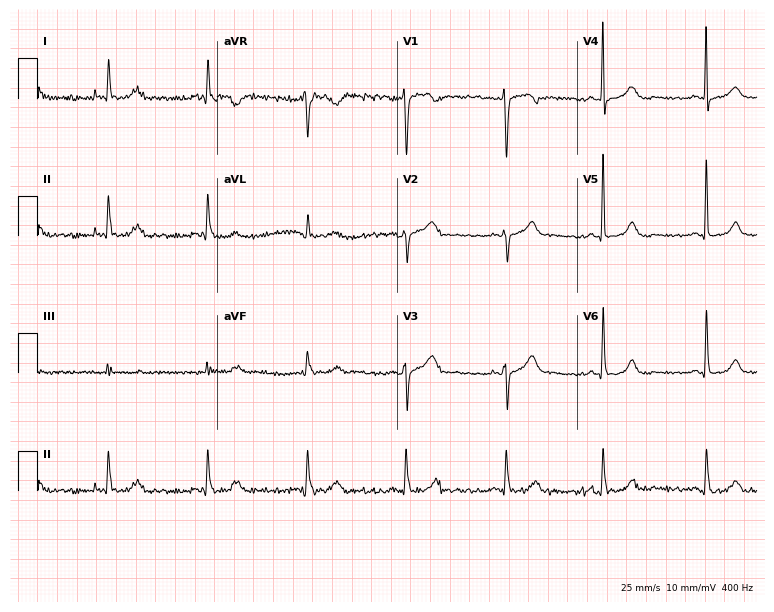
Resting 12-lead electrocardiogram. Patient: a woman, 78 years old. Read as a normal ECG.